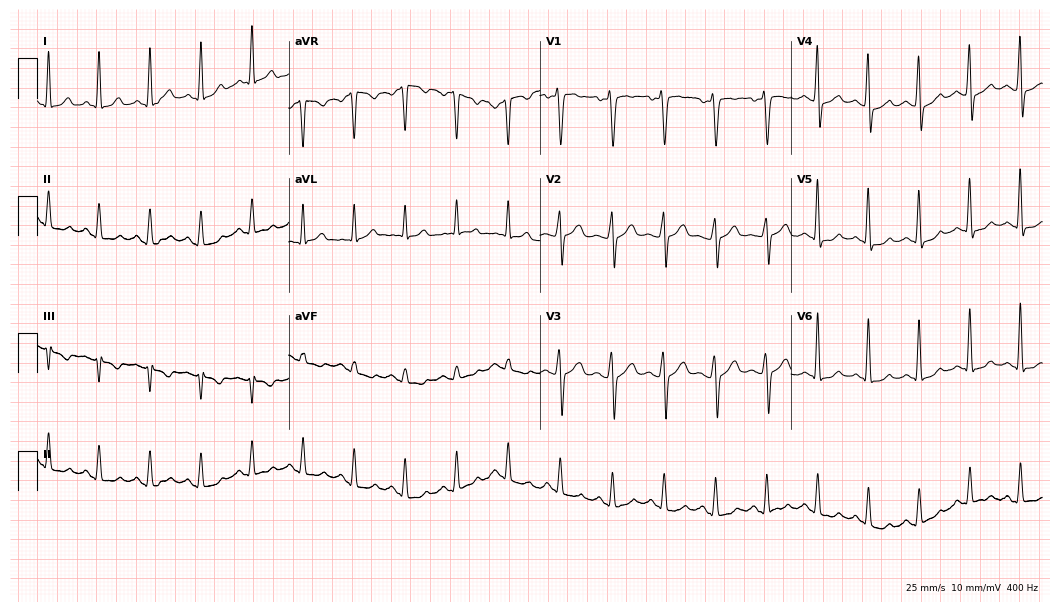
Electrocardiogram (10.2-second recording at 400 Hz), a 47-year-old male. Interpretation includes sinus tachycardia (a sinus rate of 100 beats per minute or more).